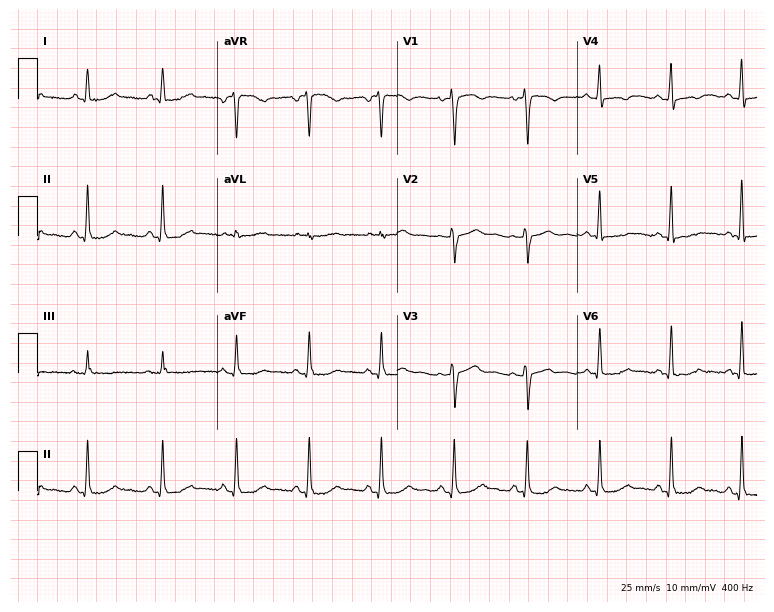
Standard 12-lead ECG recorded from a female patient, 50 years old (7.3-second recording at 400 Hz). None of these six findings is recorded: first-degree AV block, right bundle branch block, left bundle branch block, sinus bradycardia, atrial fibrillation, sinus tachycardia.